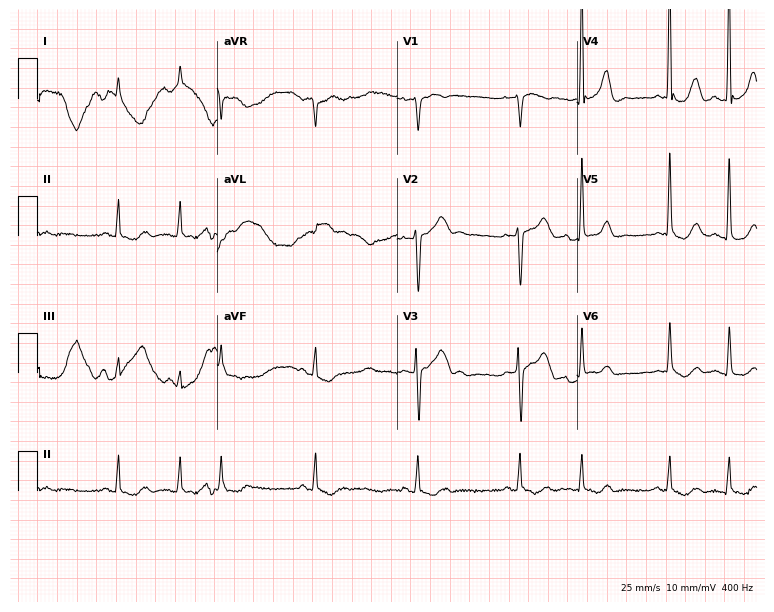
ECG (7.3-second recording at 400 Hz) — a 75-year-old male patient. Labelled as a normal ECG.